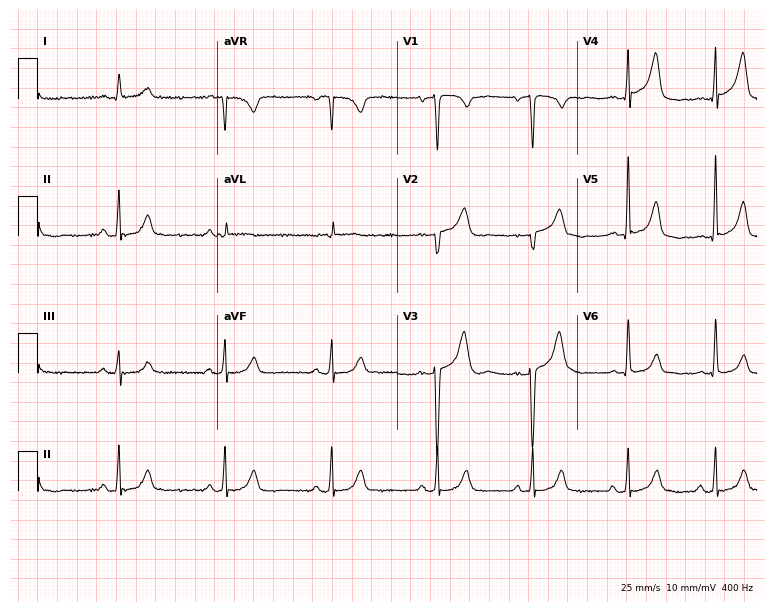
12-lead ECG (7.3-second recording at 400 Hz) from a male patient, 51 years old. Screened for six findings — first-degree AV block, right bundle branch block (RBBB), left bundle branch block (LBBB), sinus bradycardia, atrial fibrillation (AF), sinus tachycardia — none is recorded. Only these six findings were labelled.